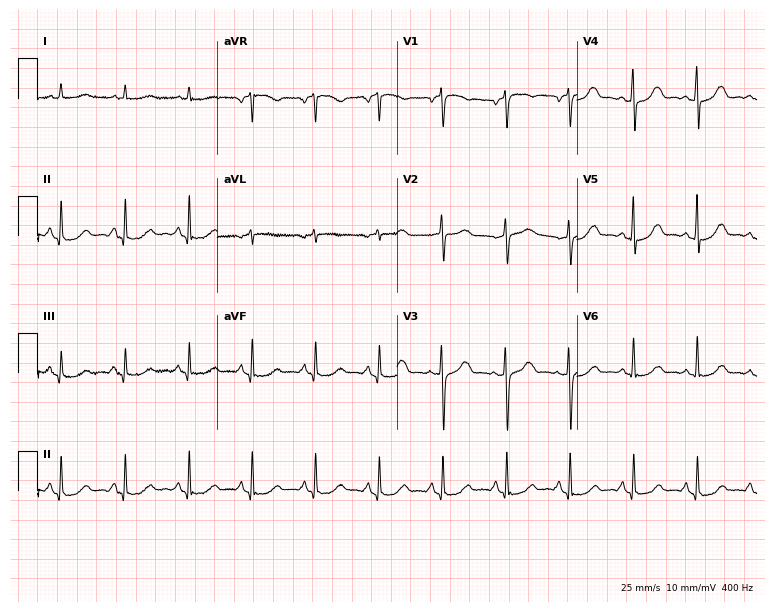
12-lead ECG (7.3-second recording at 400 Hz) from a female patient, 61 years old. Screened for six findings — first-degree AV block, right bundle branch block, left bundle branch block, sinus bradycardia, atrial fibrillation, sinus tachycardia — none is recorded.